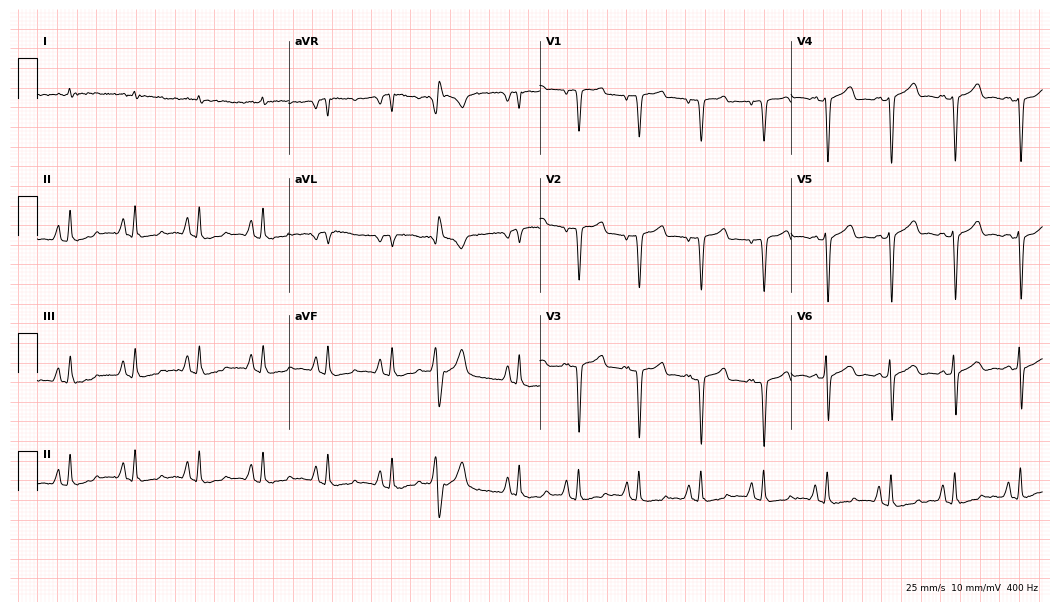
ECG — a 56-year-old male patient. Screened for six findings — first-degree AV block, right bundle branch block (RBBB), left bundle branch block (LBBB), sinus bradycardia, atrial fibrillation (AF), sinus tachycardia — none is recorded.